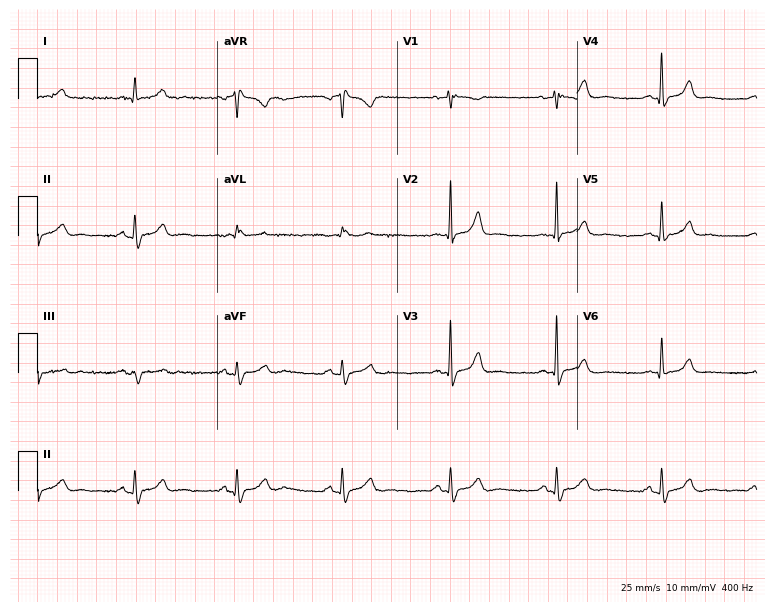
Standard 12-lead ECG recorded from a male patient, 75 years old (7.3-second recording at 400 Hz). Read as a normal ECG.